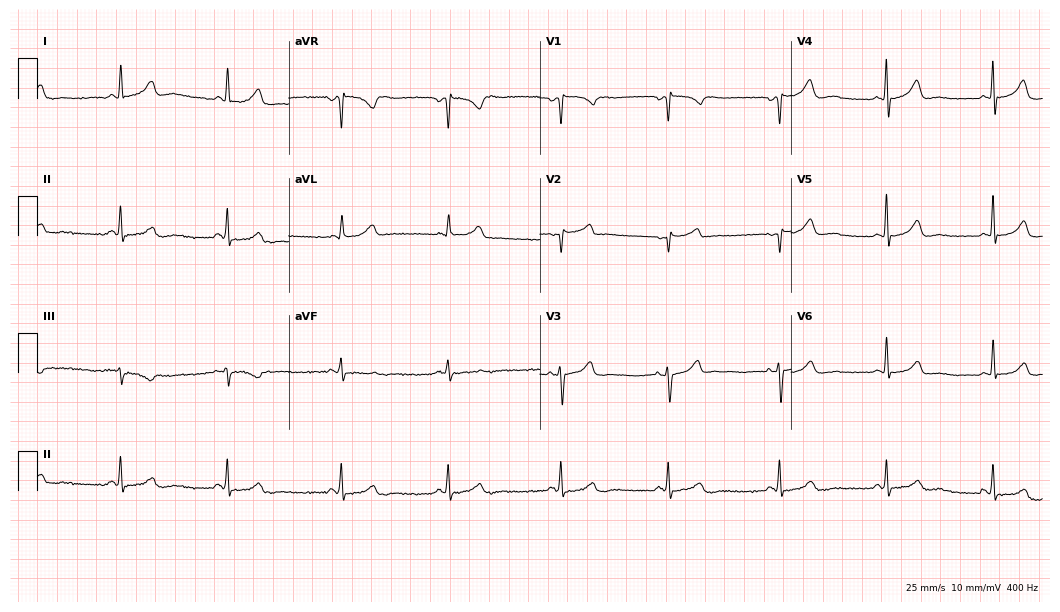
12-lead ECG from a female patient, 26 years old. No first-degree AV block, right bundle branch block, left bundle branch block, sinus bradycardia, atrial fibrillation or sinus tachycardia recorded for this tracing. Other findings, if any, are not listed.